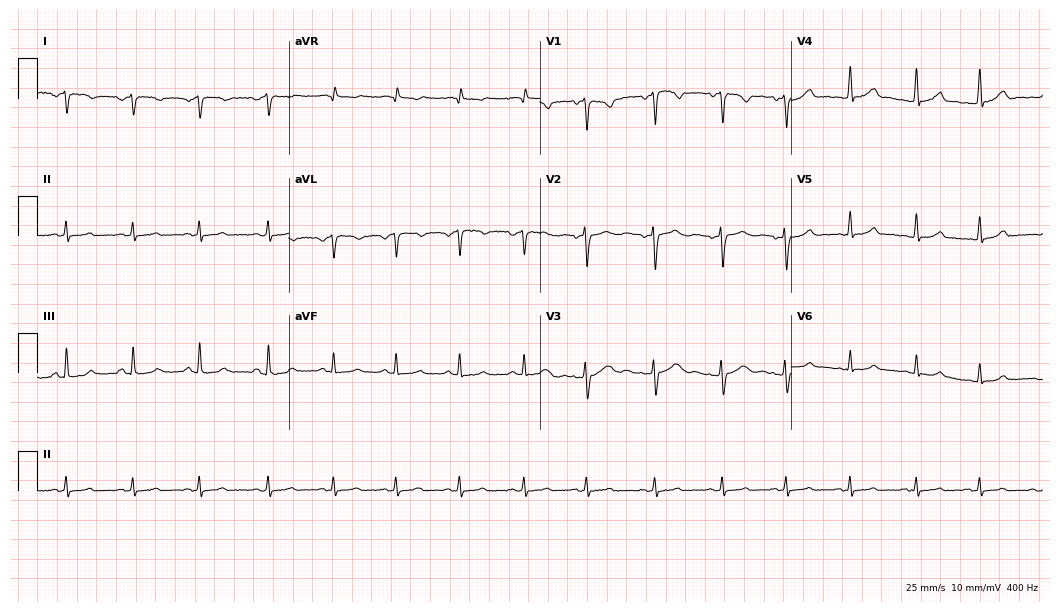
Resting 12-lead electrocardiogram. Patient: a female, 19 years old. None of these six findings is recorded: first-degree AV block, right bundle branch block, left bundle branch block, sinus bradycardia, atrial fibrillation, sinus tachycardia.